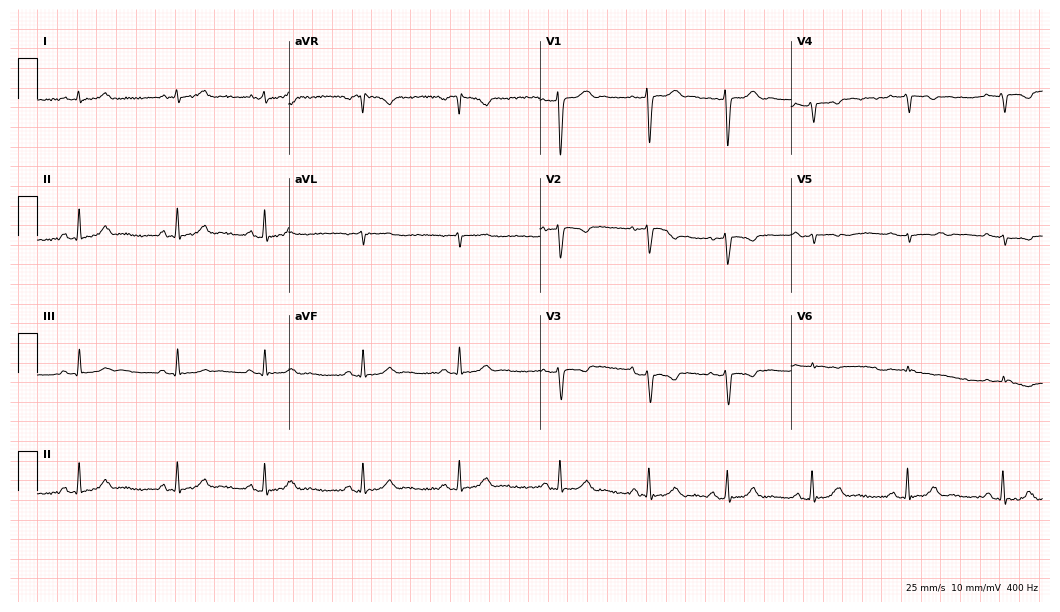
12-lead ECG from a female, 19 years old (10.2-second recording at 400 Hz). Recorded interpretation: within normal limits.